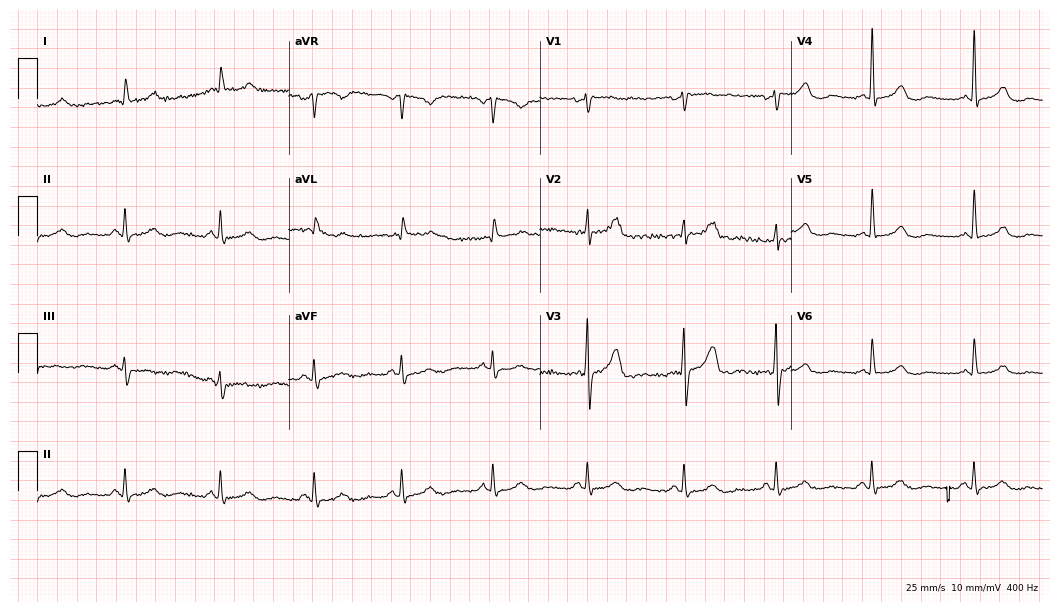
Resting 12-lead electrocardiogram. Patient: a male, 82 years old. None of these six findings is recorded: first-degree AV block, right bundle branch block (RBBB), left bundle branch block (LBBB), sinus bradycardia, atrial fibrillation (AF), sinus tachycardia. Findings outside these six are not listed.